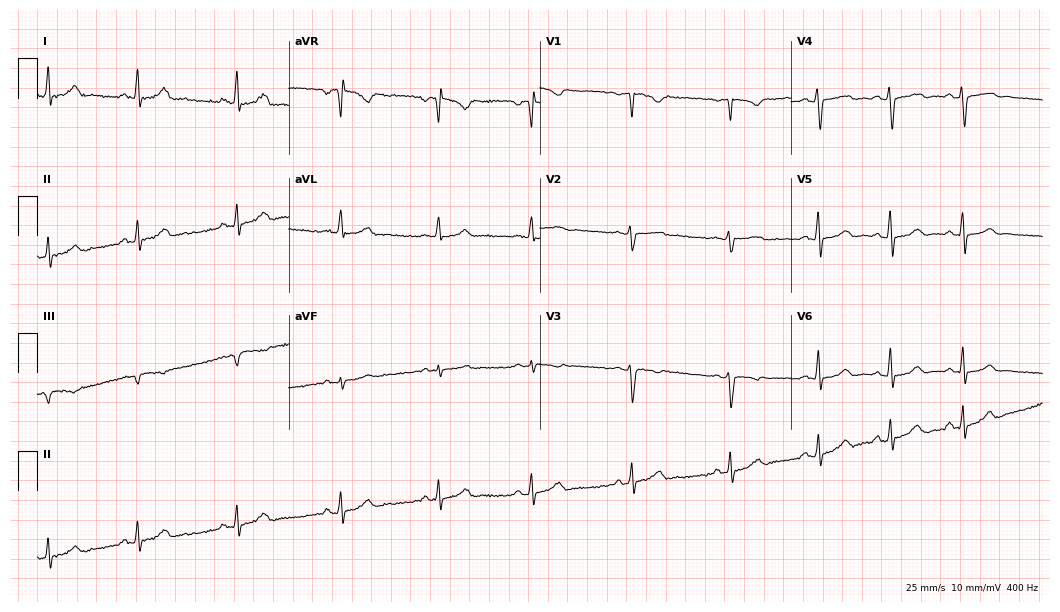
12-lead ECG from a woman, 32 years old. Labelled as a normal ECG.